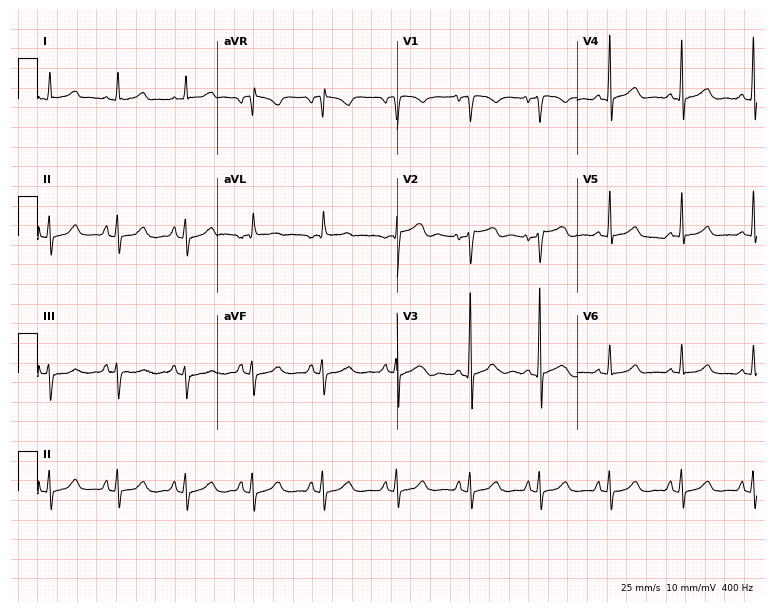
Electrocardiogram, a female, 45 years old. Overall reading on record: normal ECG.